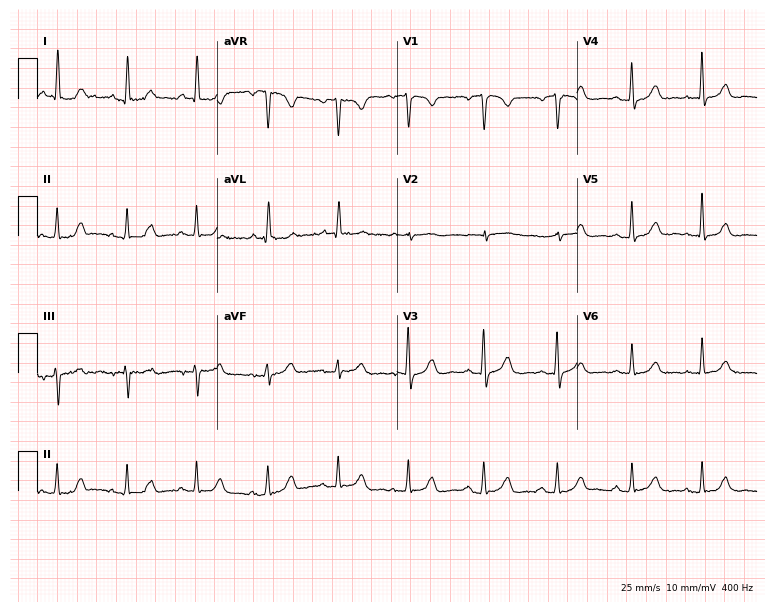
Resting 12-lead electrocardiogram. Patient: a woman, 72 years old. Read as a normal ECG.